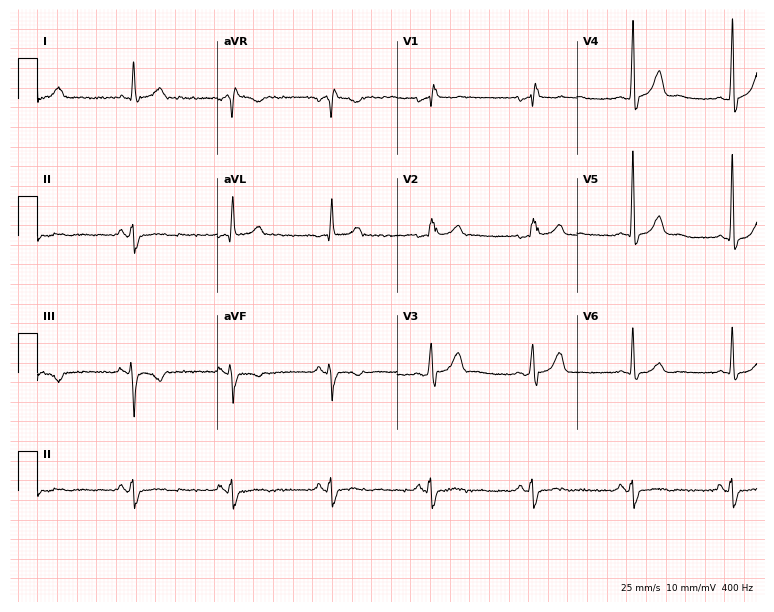
Resting 12-lead electrocardiogram. Patient: a 72-year-old male. The tracing shows right bundle branch block (RBBB).